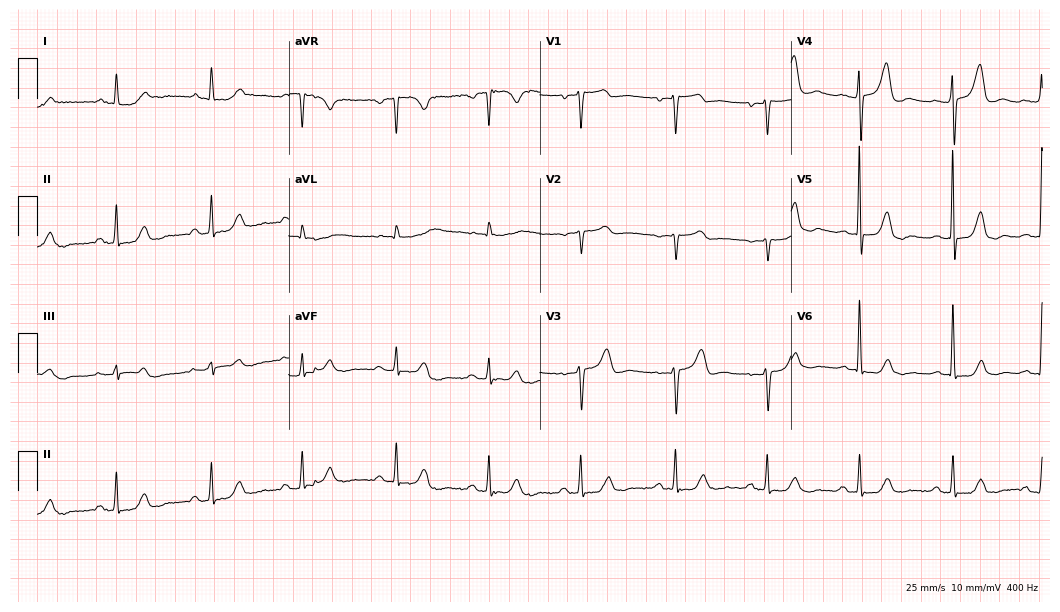
12-lead ECG from a female patient, 65 years old. Recorded interpretation: within normal limits.